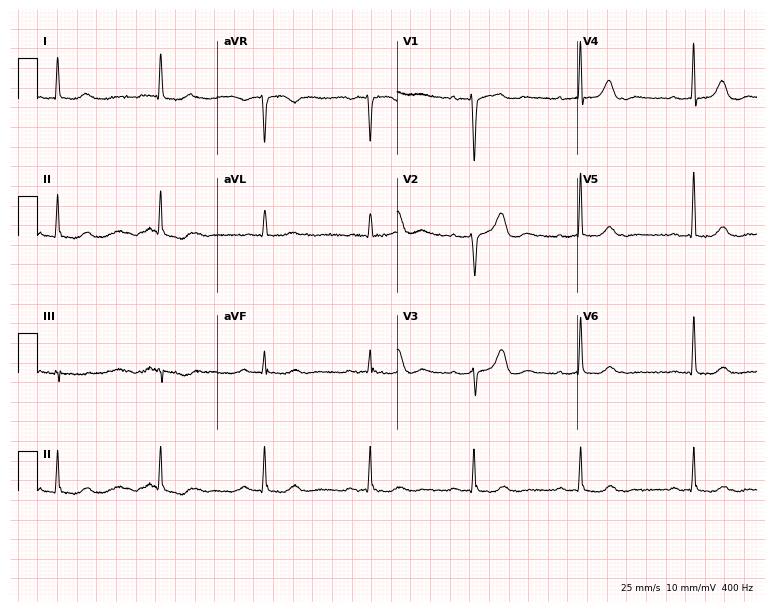
Standard 12-lead ECG recorded from a female, 70 years old. Read as a normal ECG.